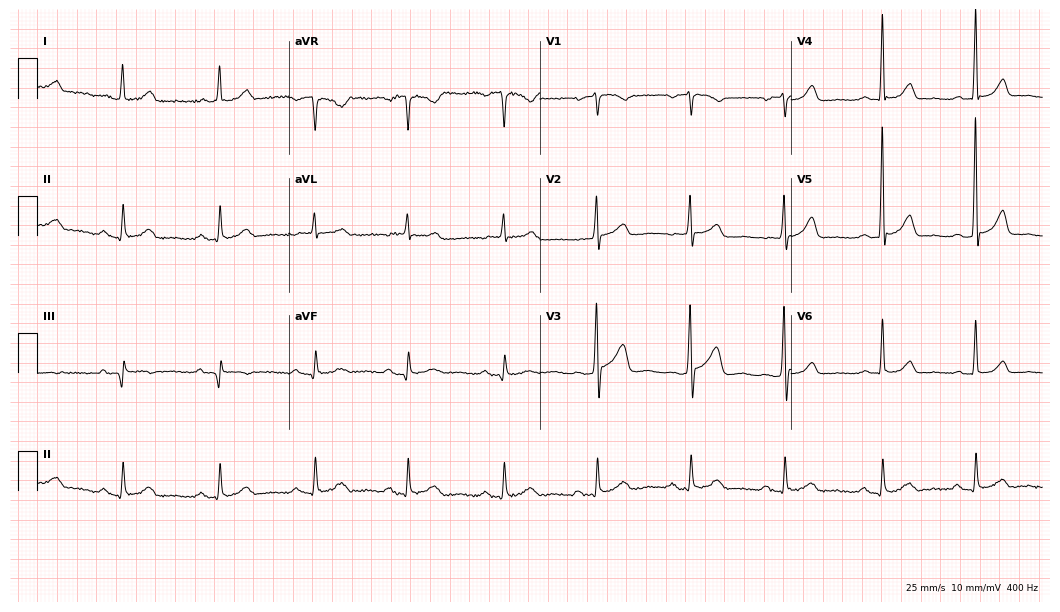
12-lead ECG (10.2-second recording at 400 Hz) from a woman, 77 years old. Screened for six findings — first-degree AV block, right bundle branch block (RBBB), left bundle branch block (LBBB), sinus bradycardia, atrial fibrillation (AF), sinus tachycardia — none is recorded. Other findings, if any, are not listed.